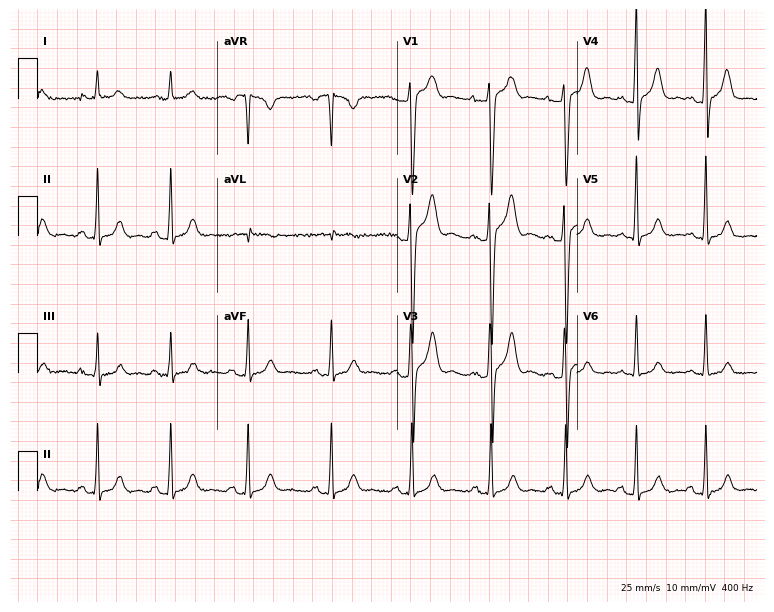
Standard 12-lead ECG recorded from a 30-year-old male patient. Read as a normal ECG.